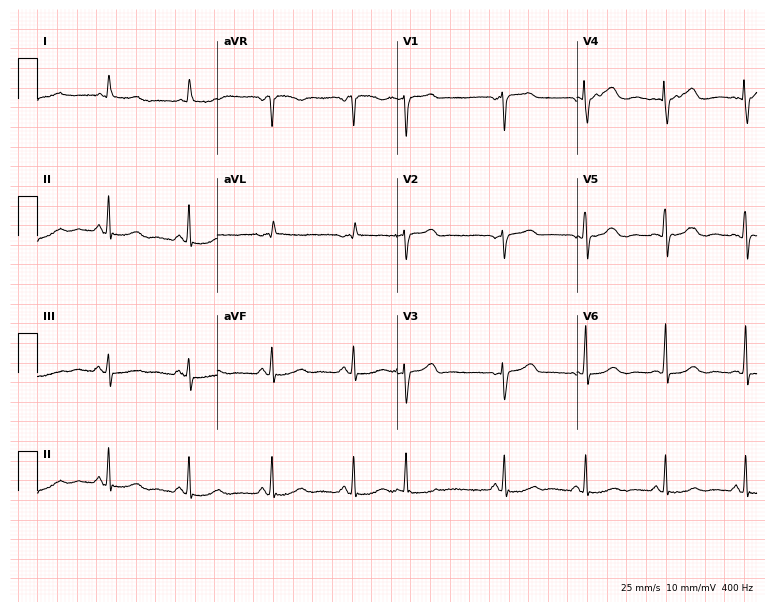
ECG — a 63-year-old woman. Screened for six findings — first-degree AV block, right bundle branch block, left bundle branch block, sinus bradycardia, atrial fibrillation, sinus tachycardia — none is recorded. Other findings, if any, are not listed.